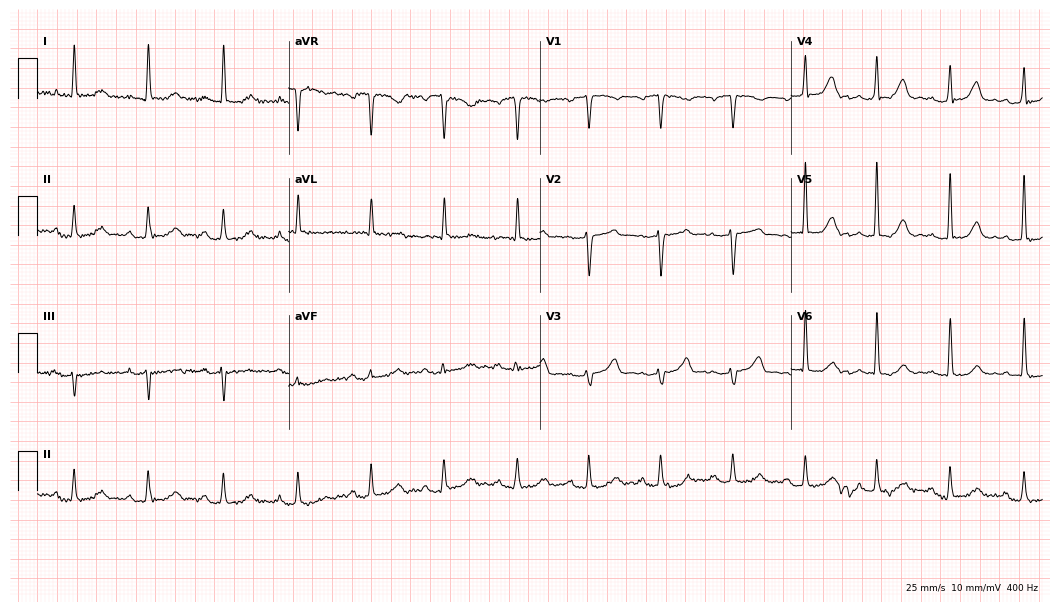
Electrocardiogram, an 83-year-old female patient. Overall reading on record: normal ECG.